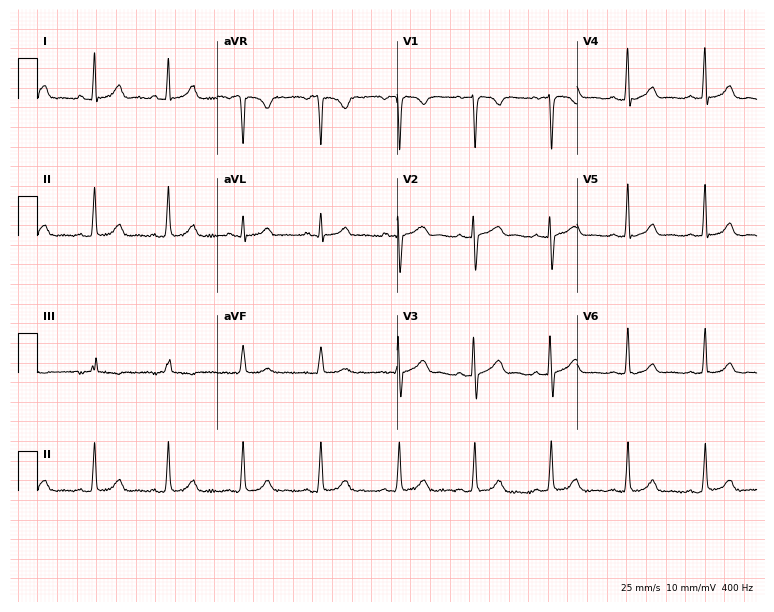
12-lead ECG (7.3-second recording at 400 Hz) from a male patient, 27 years old. Screened for six findings — first-degree AV block, right bundle branch block, left bundle branch block, sinus bradycardia, atrial fibrillation, sinus tachycardia — none is recorded.